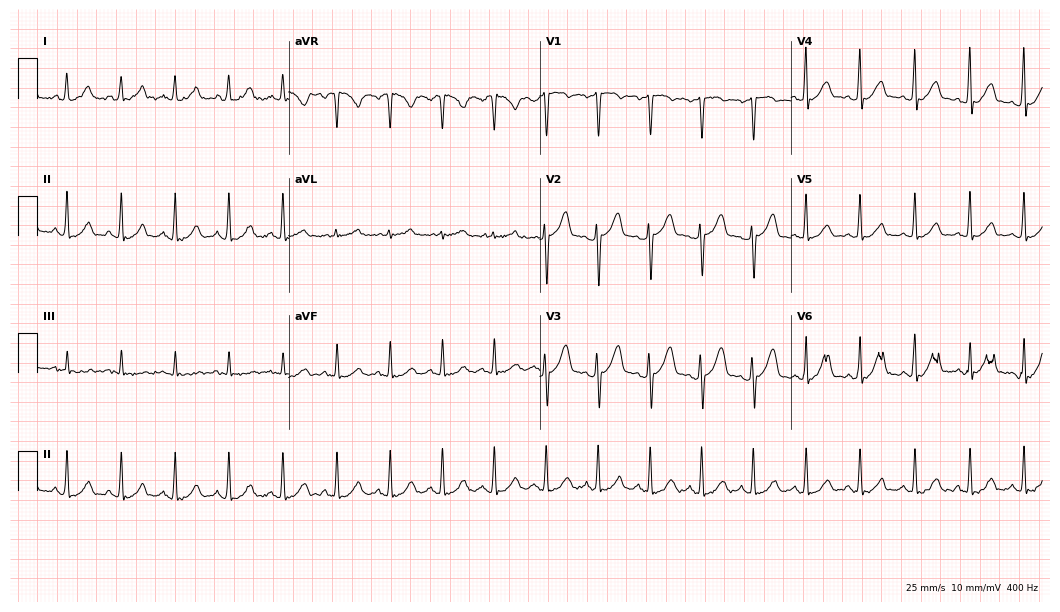
12-lead ECG from a woman, 31 years old (10.2-second recording at 400 Hz). Shows sinus tachycardia (a sinus rate of 100 beats per minute or more).